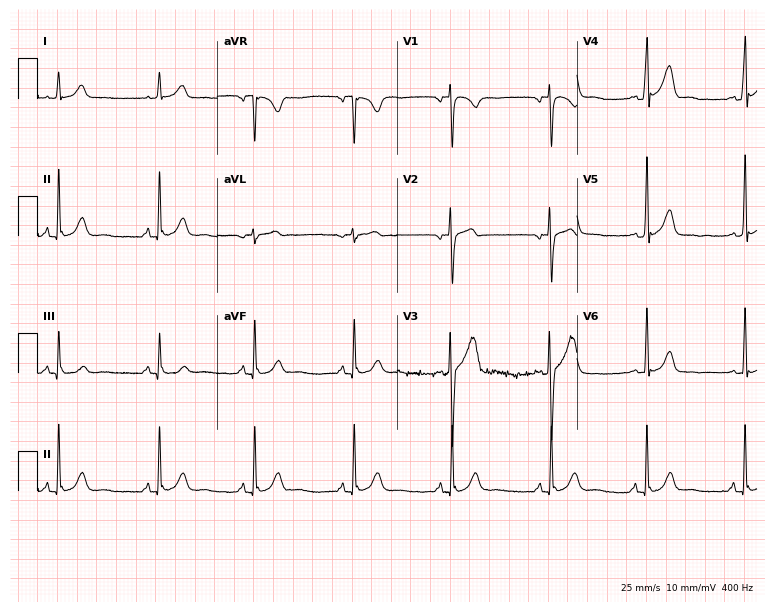
12-lead ECG from a male patient, 24 years old (7.3-second recording at 400 Hz). Recorded interpretation: within normal limits.